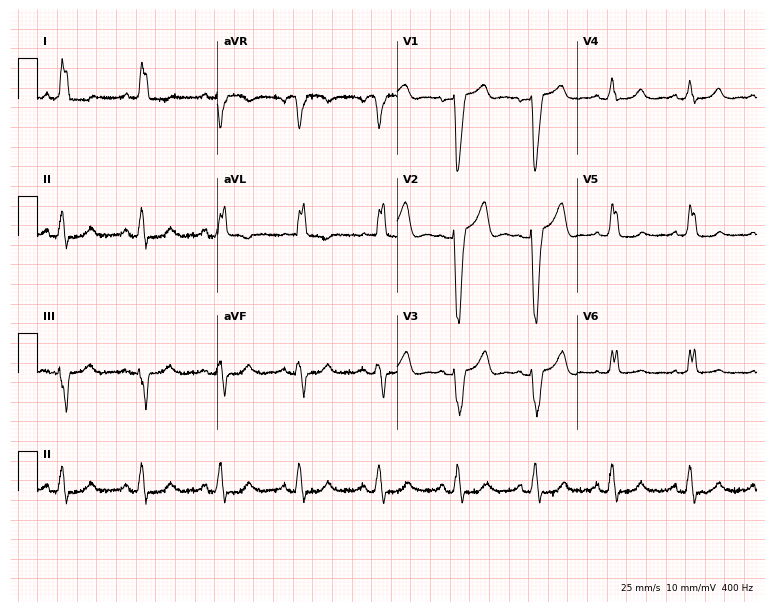
12-lead ECG from an 81-year-old female patient (7.3-second recording at 400 Hz). Shows left bundle branch block (LBBB).